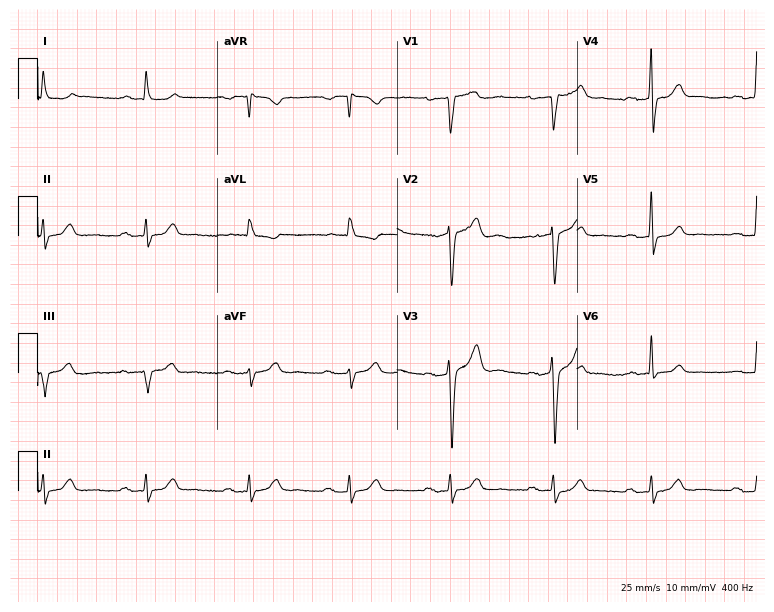
12-lead ECG from a 72-year-old man. Findings include first-degree AV block.